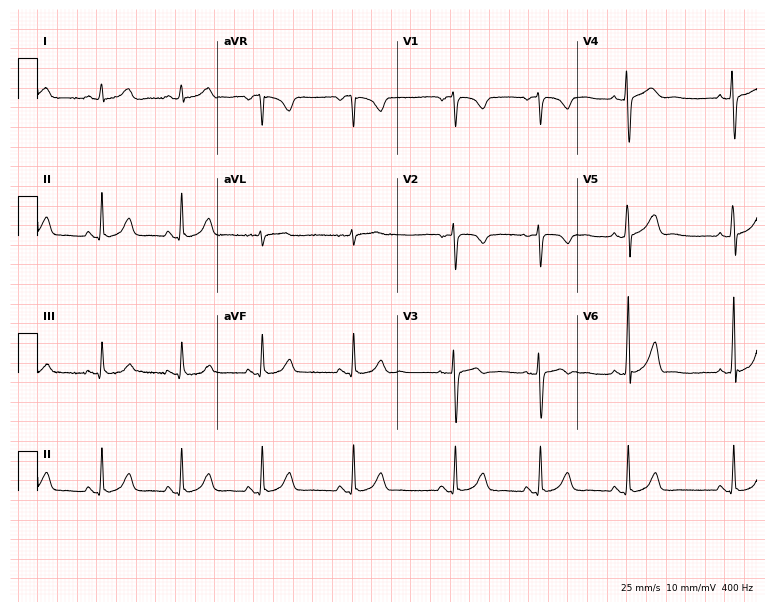
Resting 12-lead electrocardiogram (7.3-second recording at 400 Hz). Patient: a 35-year-old woman. Read as a normal ECG.